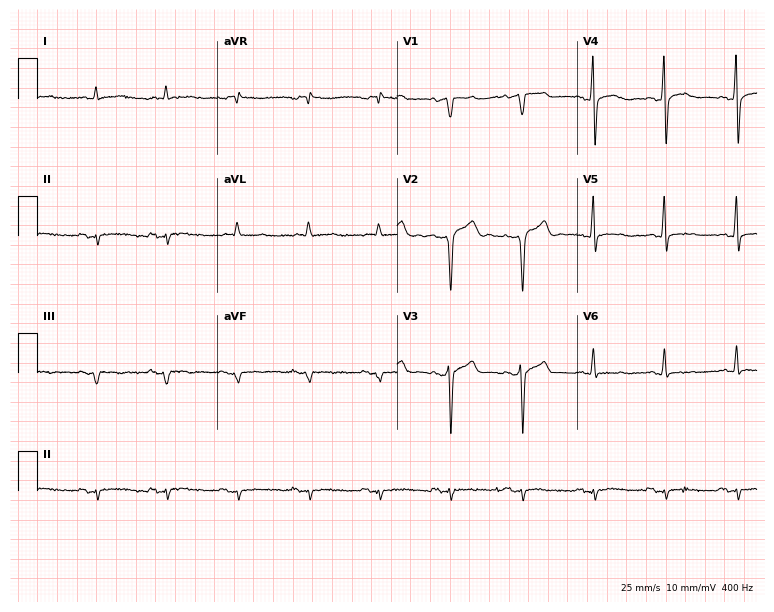
Electrocardiogram (7.3-second recording at 400 Hz), a 64-year-old male. Of the six screened findings (first-degree AV block, right bundle branch block, left bundle branch block, sinus bradycardia, atrial fibrillation, sinus tachycardia), none is recorded.